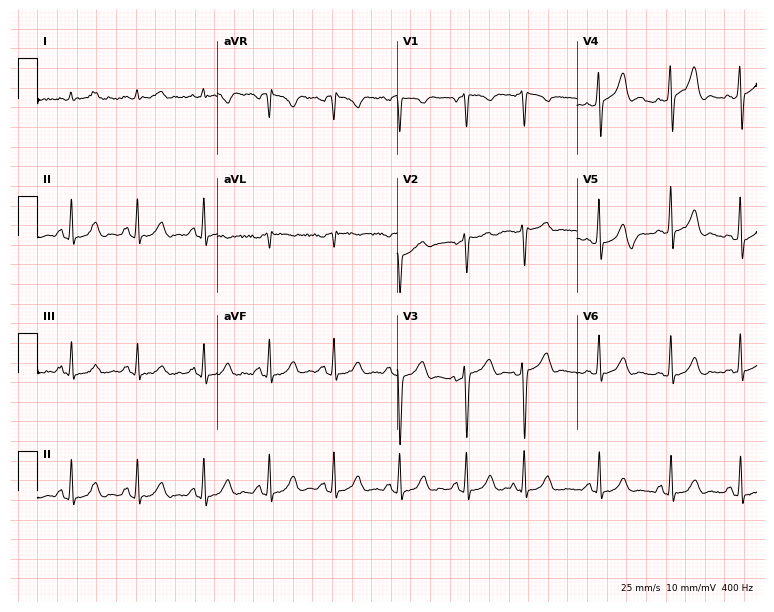
Resting 12-lead electrocardiogram (7.3-second recording at 400 Hz). Patient: a 62-year-old man. None of these six findings is recorded: first-degree AV block, right bundle branch block, left bundle branch block, sinus bradycardia, atrial fibrillation, sinus tachycardia. Only these six findings were labelled.